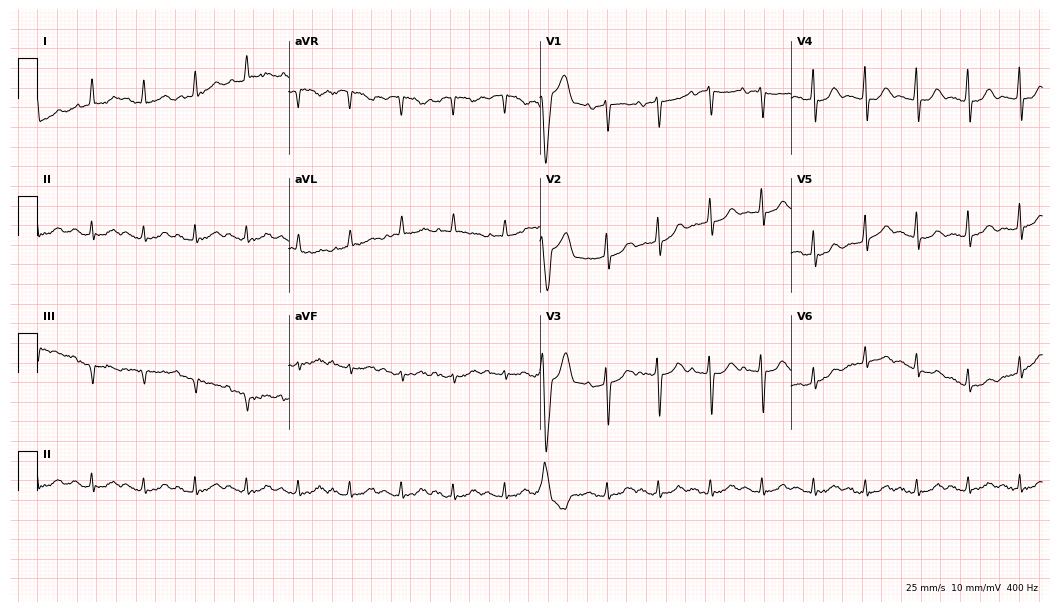
Electrocardiogram, an 83-year-old woman. Interpretation includes sinus tachycardia (a sinus rate of 100 beats per minute or more).